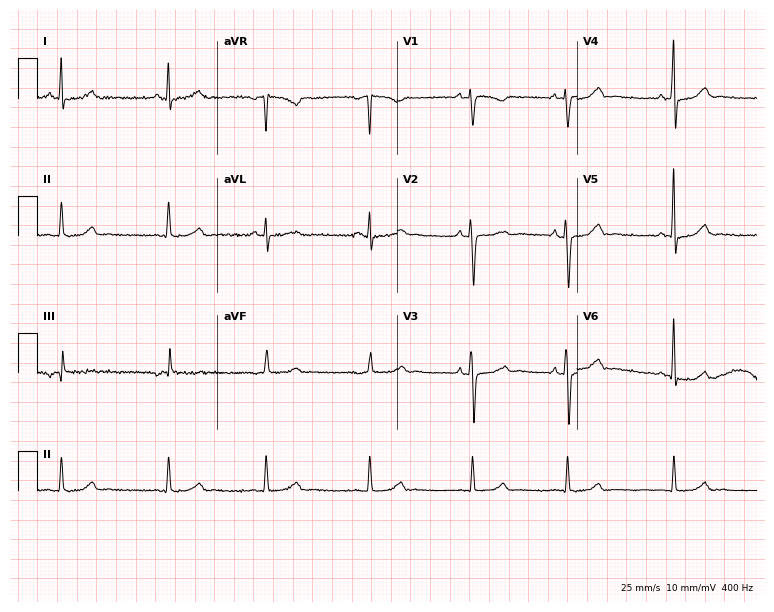
12-lead ECG from a 38-year-old female patient. Recorded interpretation: within normal limits.